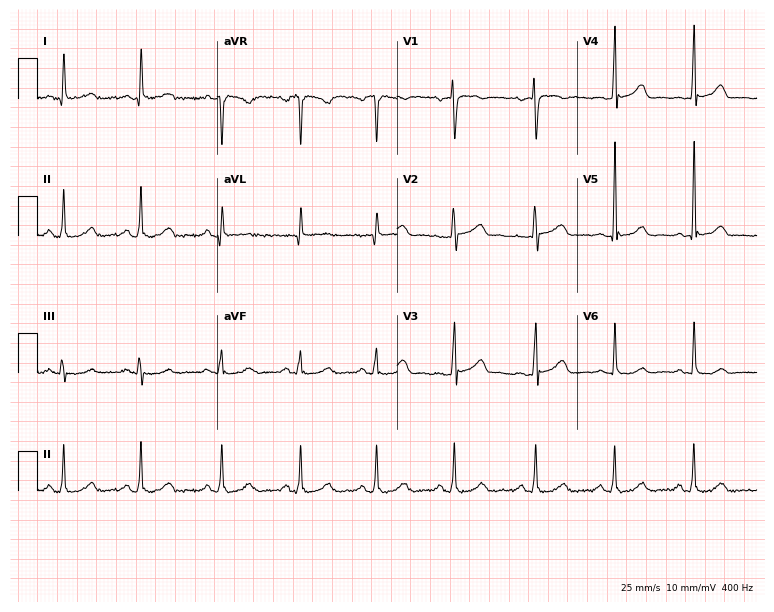
Standard 12-lead ECG recorded from a female patient, 38 years old. Read as a normal ECG.